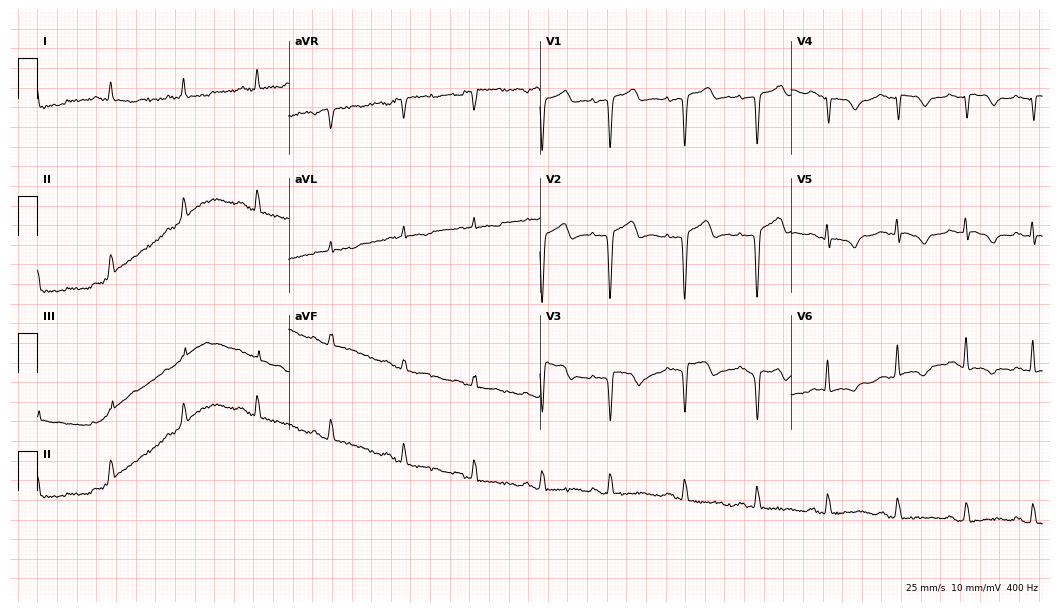
Electrocardiogram (10.2-second recording at 400 Hz), an 85-year-old male. Of the six screened findings (first-degree AV block, right bundle branch block, left bundle branch block, sinus bradycardia, atrial fibrillation, sinus tachycardia), none is recorded.